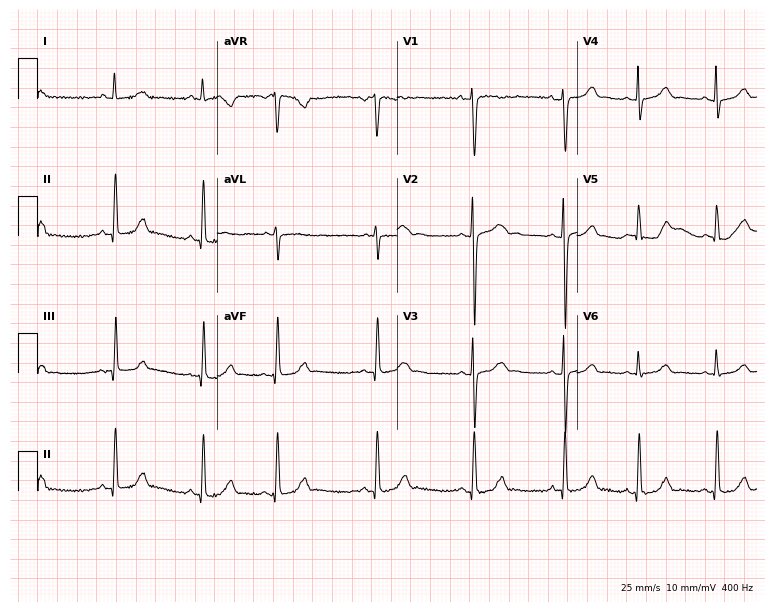
12-lead ECG (7.3-second recording at 400 Hz) from a female patient, 17 years old. Screened for six findings — first-degree AV block, right bundle branch block (RBBB), left bundle branch block (LBBB), sinus bradycardia, atrial fibrillation (AF), sinus tachycardia — none is recorded.